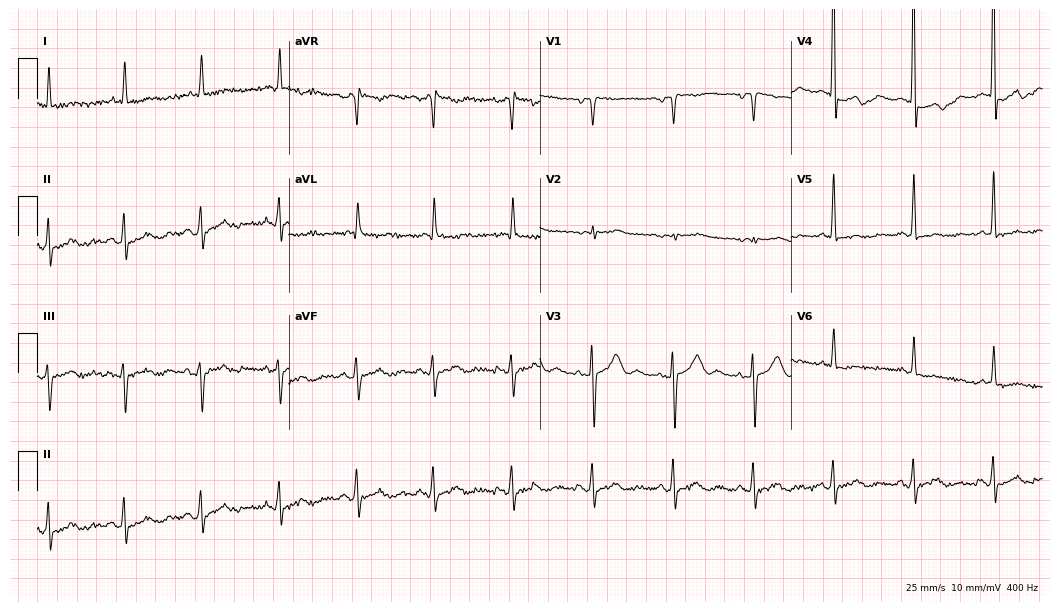
12-lead ECG from a 69-year-old female (10.2-second recording at 400 Hz). No first-degree AV block, right bundle branch block, left bundle branch block, sinus bradycardia, atrial fibrillation or sinus tachycardia recorded for this tracing.